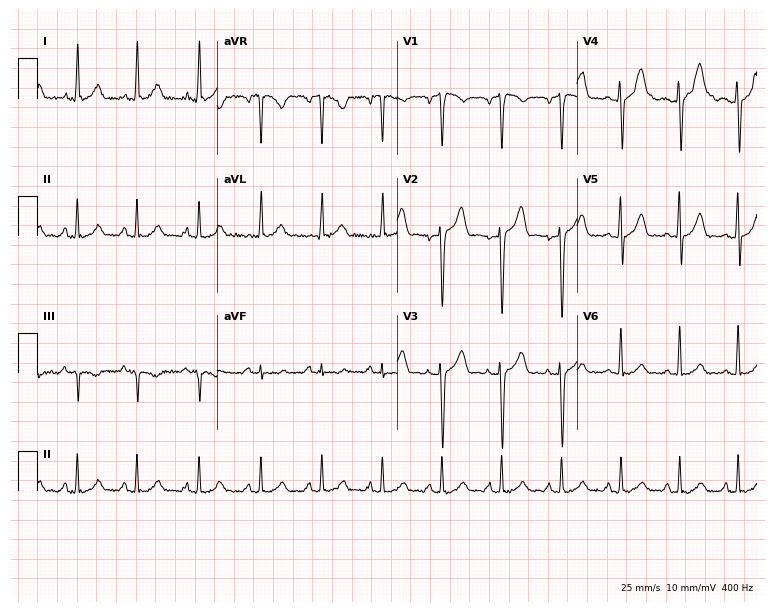
Electrocardiogram (7.3-second recording at 400 Hz), a male patient, 26 years old. Of the six screened findings (first-degree AV block, right bundle branch block, left bundle branch block, sinus bradycardia, atrial fibrillation, sinus tachycardia), none is recorded. Other findings, if any, are not listed.